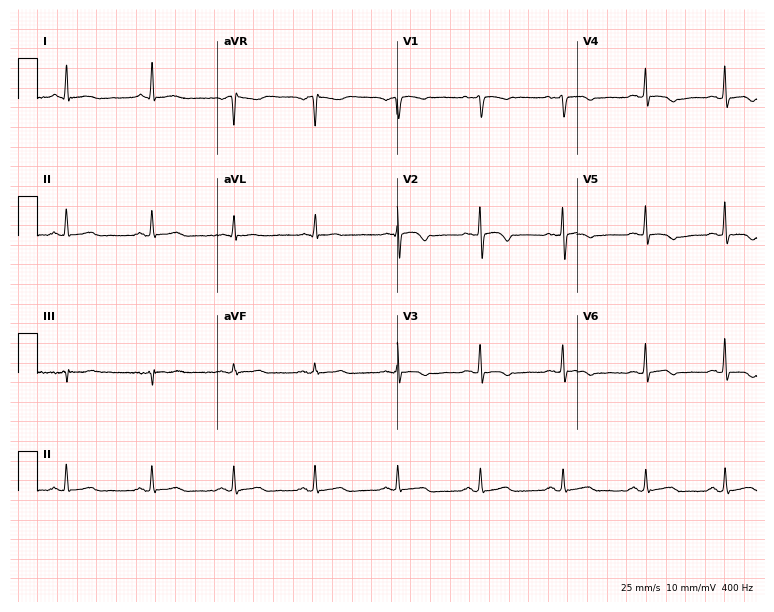
12-lead ECG from a 63-year-old woman (7.3-second recording at 400 Hz). No first-degree AV block, right bundle branch block, left bundle branch block, sinus bradycardia, atrial fibrillation or sinus tachycardia recorded for this tracing. Findings outside these six are not listed.